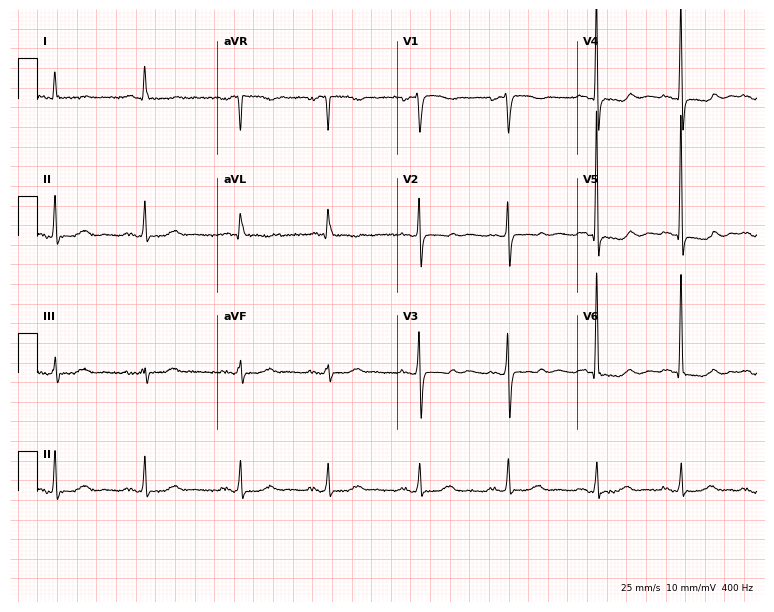
Electrocardiogram (7.3-second recording at 400 Hz), a 79-year-old female. Of the six screened findings (first-degree AV block, right bundle branch block, left bundle branch block, sinus bradycardia, atrial fibrillation, sinus tachycardia), none is recorded.